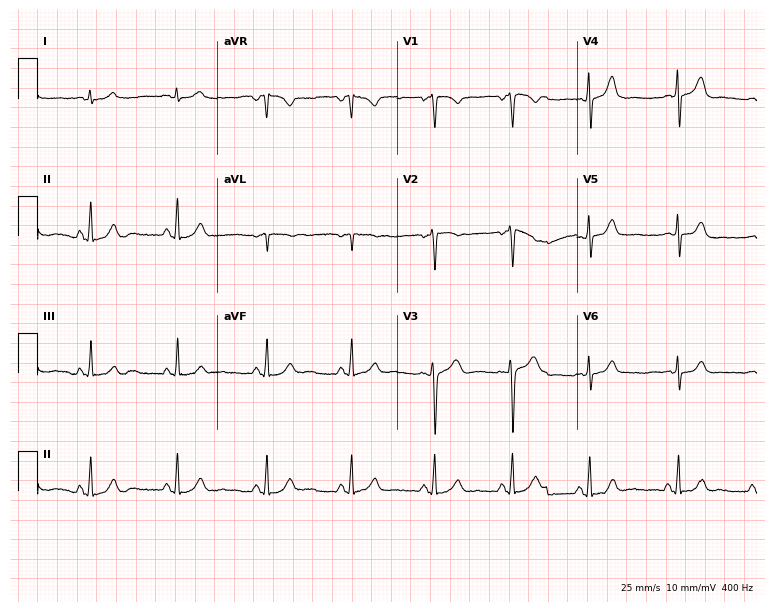
Electrocardiogram (7.3-second recording at 400 Hz), a female, 27 years old. Of the six screened findings (first-degree AV block, right bundle branch block, left bundle branch block, sinus bradycardia, atrial fibrillation, sinus tachycardia), none is recorded.